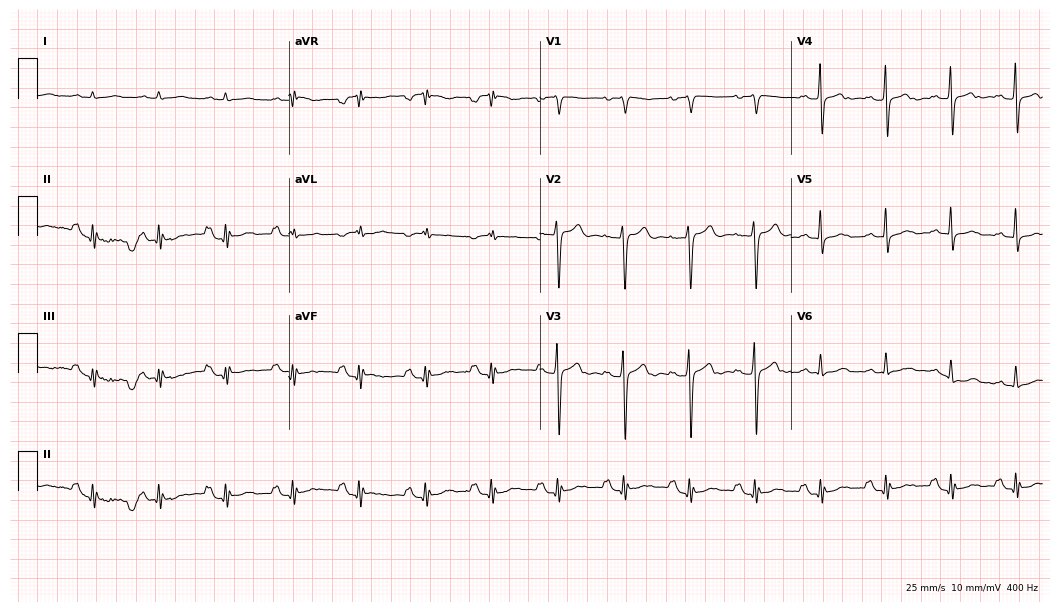
Resting 12-lead electrocardiogram (10.2-second recording at 400 Hz). Patient: a male, 78 years old. None of these six findings is recorded: first-degree AV block, right bundle branch block, left bundle branch block, sinus bradycardia, atrial fibrillation, sinus tachycardia.